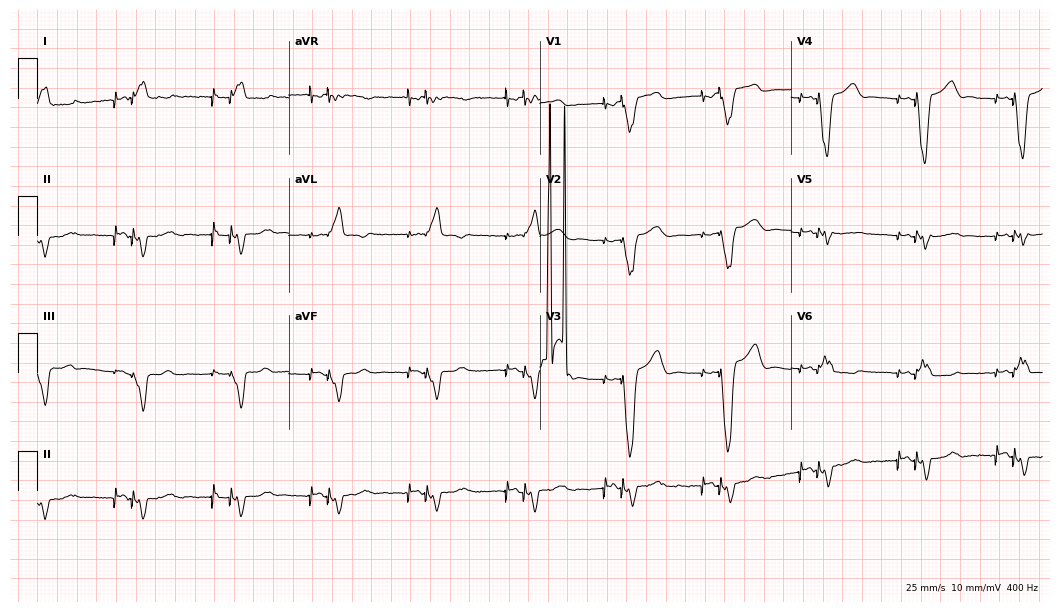
Standard 12-lead ECG recorded from a male patient, 76 years old. None of these six findings is recorded: first-degree AV block, right bundle branch block, left bundle branch block, sinus bradycardia, atrial fibrillation, sinus tachycardia.